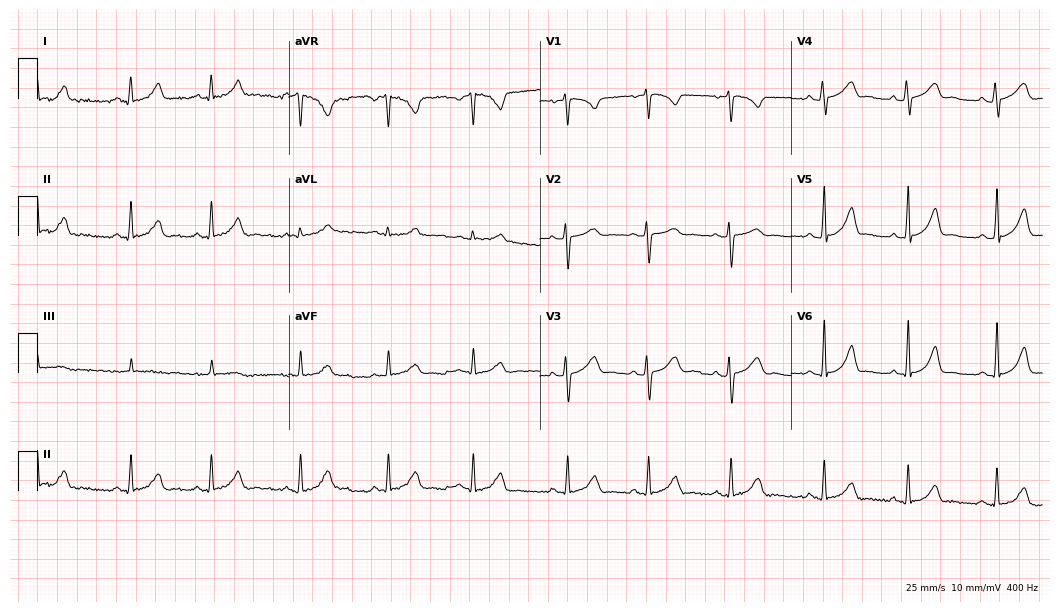
12-lead ECG from a 21-year-old female. No first-degree AV block, right bundle branch block (RBBB), left bundle branch block (LBBB), sinus bradycardia, atrial fibrillation (AF) or sinus tachycardia recorded for this tracing.